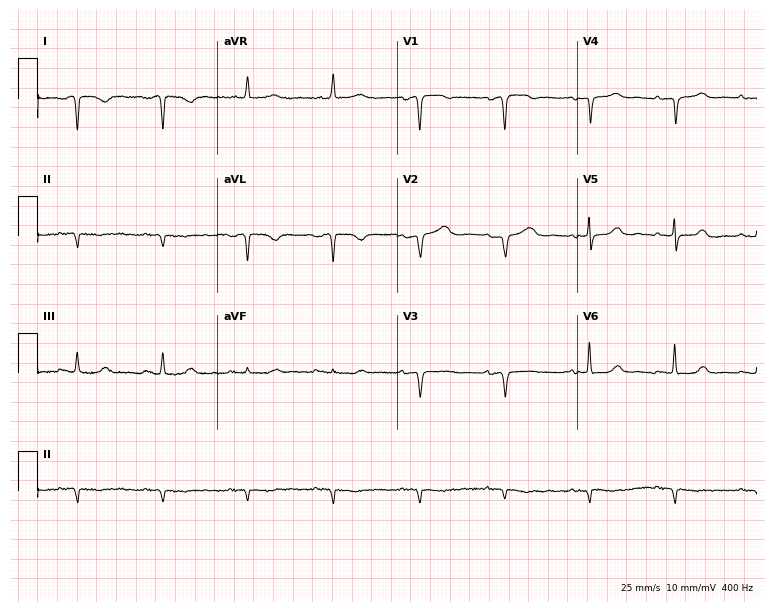
Electrocardiogram, a female, 66 years old. Of the six screened findings (first-degree AV block, right bundle branch block (RBBB), left bundle branch block (LBBB), sinus bradycardia, atrial fibrillation (AF), sinus tachycardia), none is recorded. Findings outside these six are not listed.